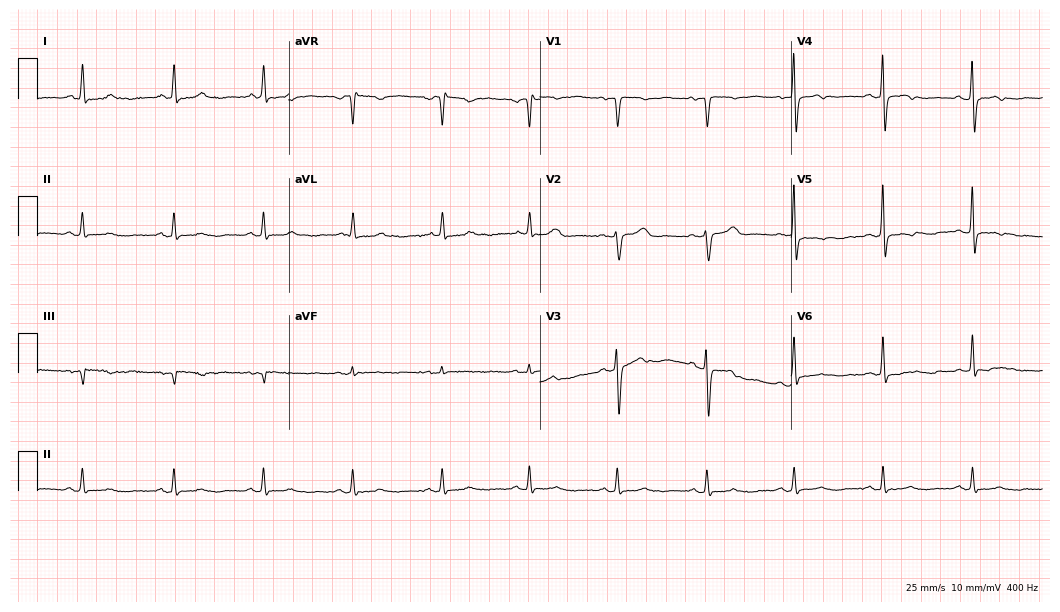
Resting 12-lead electrocardiogram. Patient: a 47-year-old female. None of these six findings is recorded: first-degree AV block, right bundle branch block, left bundle branch block, sinus bradycardia, atrial fibrillation, sinus tachycardia. Only these six findings were labelled.